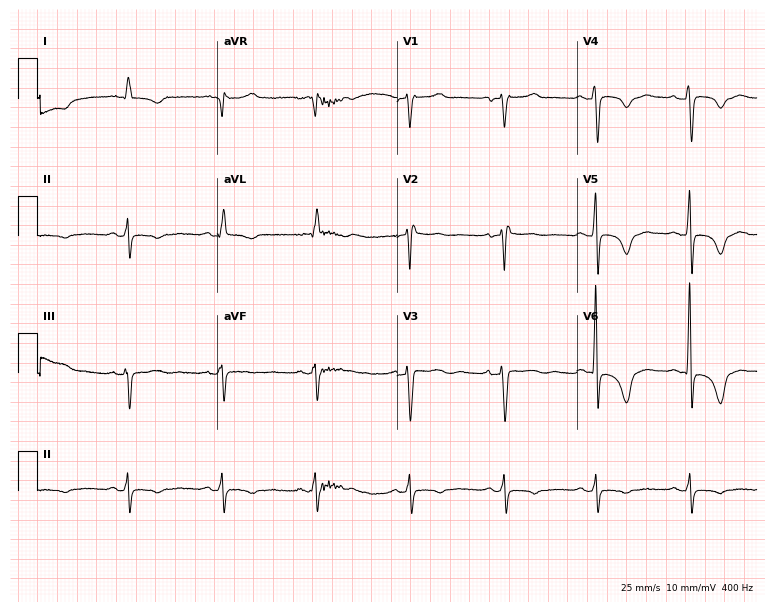
12-lead ECG from a female, 83 years old (7.3-second recording at 400 Hz). No first-degree AV block, right bundle branch block (RBBB), left bundle branch block (LBBB), sinus bradycardia, atrial fibrillation (AF) or sinus tachycardia recorded for this tracing. Only these six findings were labelled.